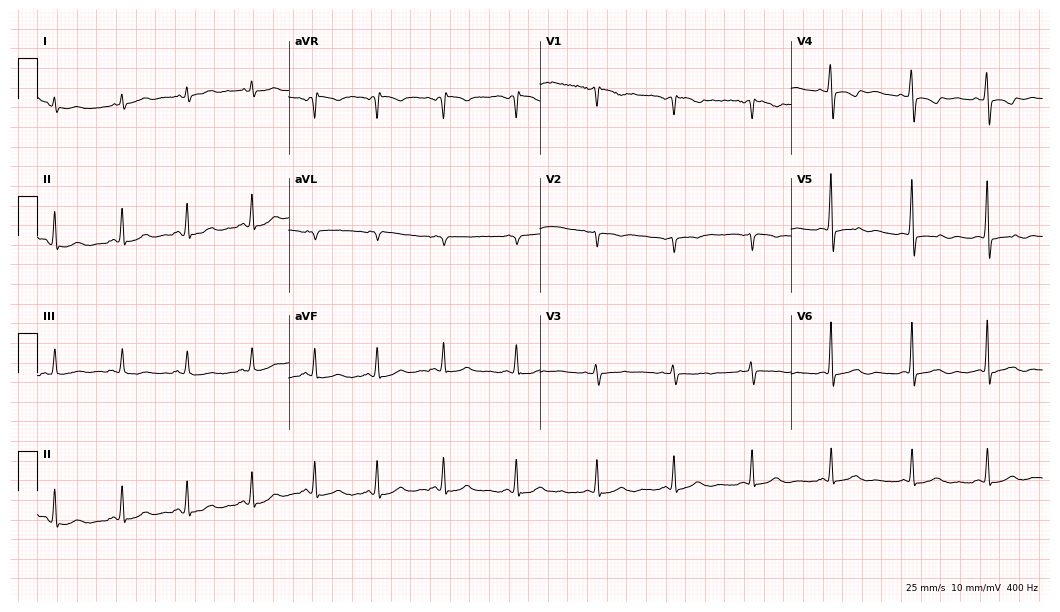
Resting 12-lead electrocardiogram. Patient: a female, 45 years old. None of these six findings is recorded: first-degree AV block, right bundle branch block, left bundle branch block, sinus bradycardia, atrial fibrillation, sinus tachycardia.